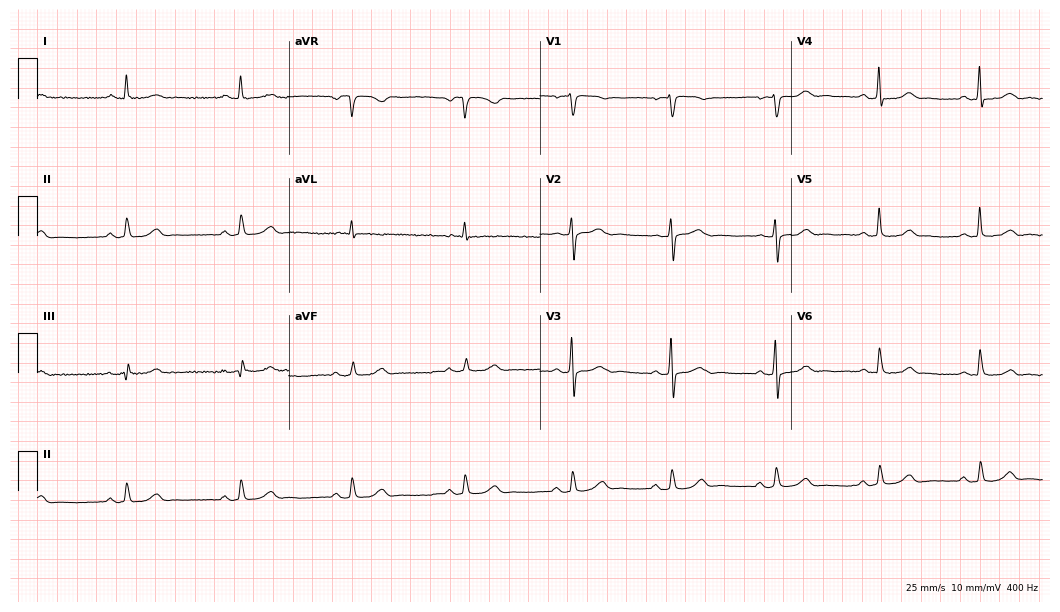
Standard 12-lead ECG recorded from a 54-year-old man (10.2-second recording at 400 Hz). Read as a normal ECG.